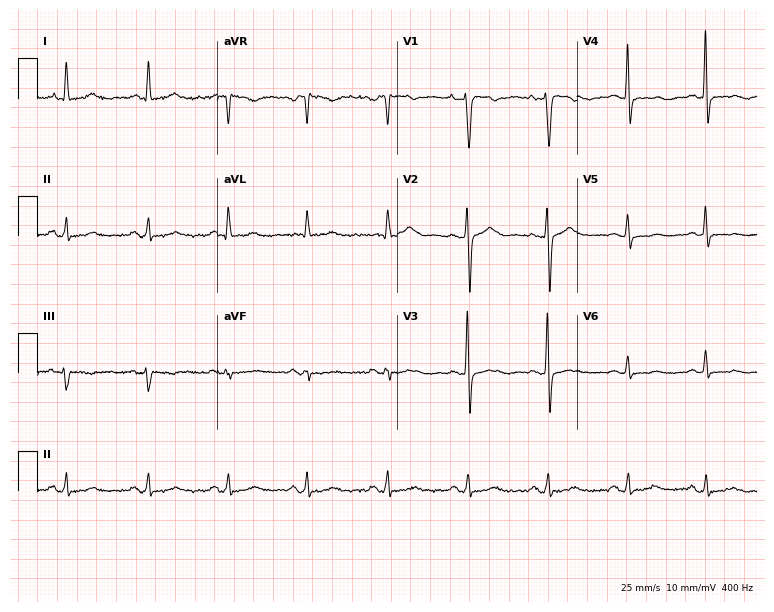
12-lead ECG from a 46-year-old woman. No first-degree AV block, right bundle branch block, left bundle branch block, sinus bradycardia, atrial fibrillation or sinus tachycardia recorded for this tracing. Only these six findings were labelled.